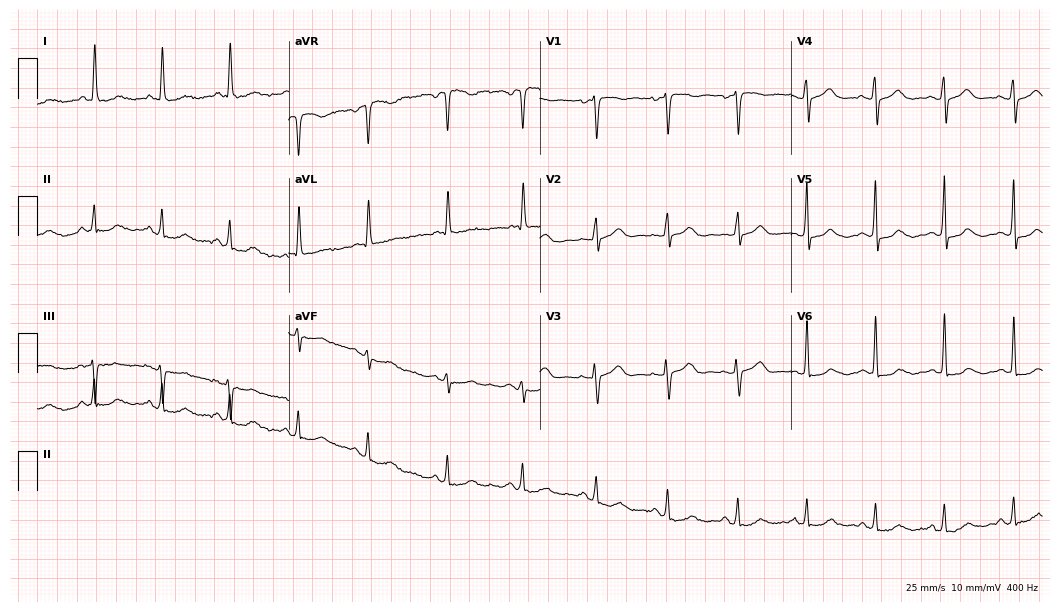
12-lead ECG from a 71-year-old female (10.2-second recording at 400 Hz). Recorded interpretation: within normal limits.